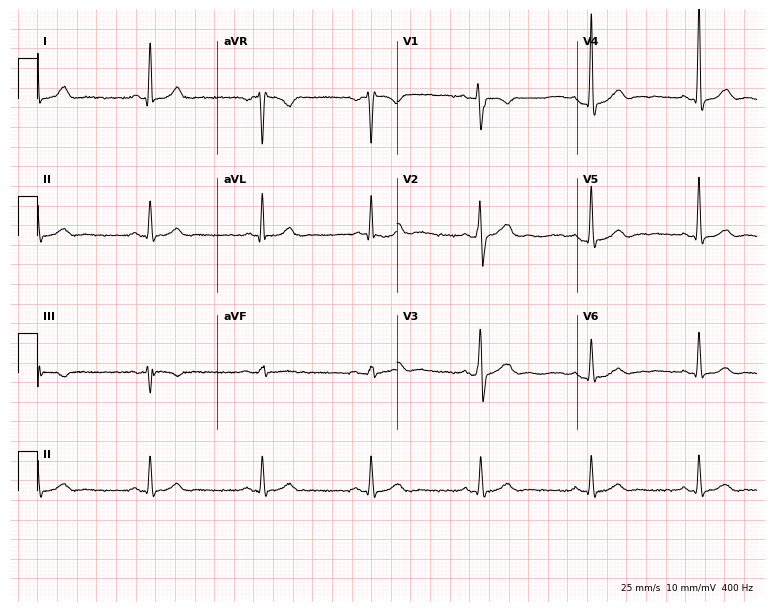
Standard 12-lead ECG recorded from a male patient, 58 years old (7.3-second recording at 400 Hz). Read as a normal ECG.